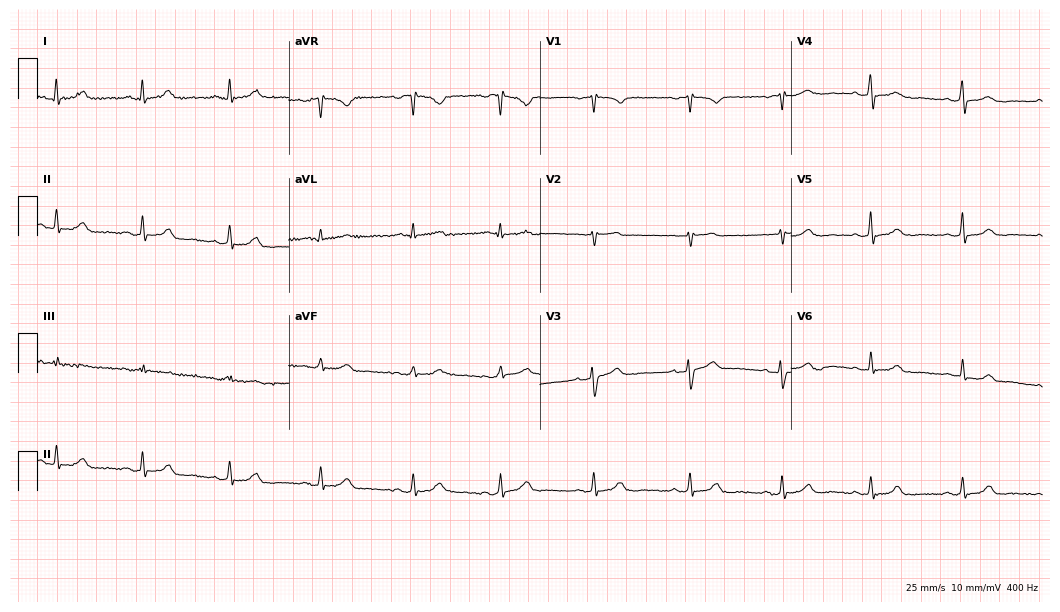
12-lead ECG (10.2-second recording at 400 Hz) from a 45-year-old female patient. Labelled as a normal ECG.